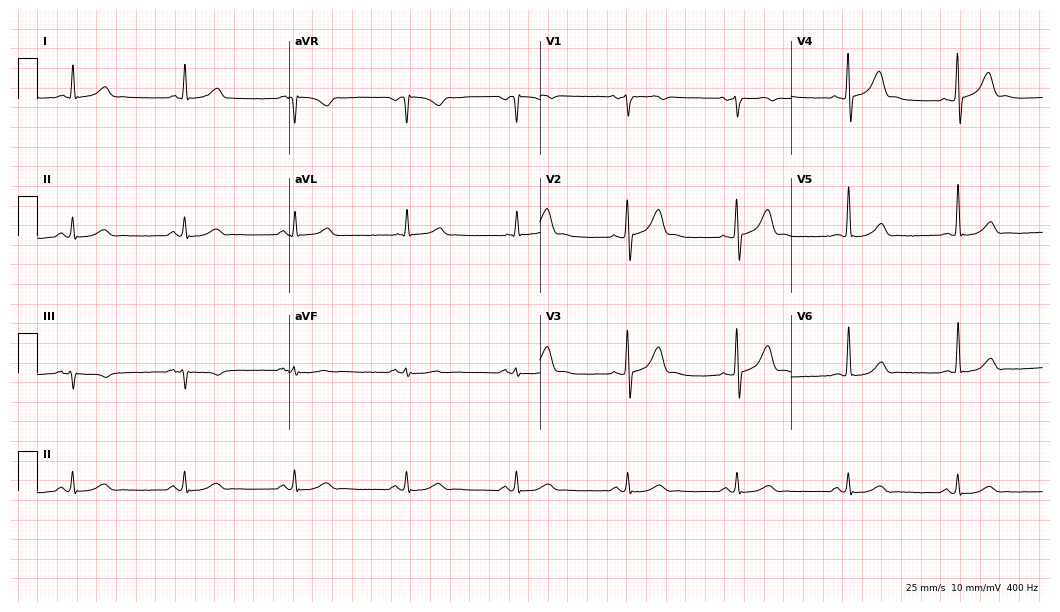
ECG — a 58-year-old male patient. Labelled as a normal ECG.